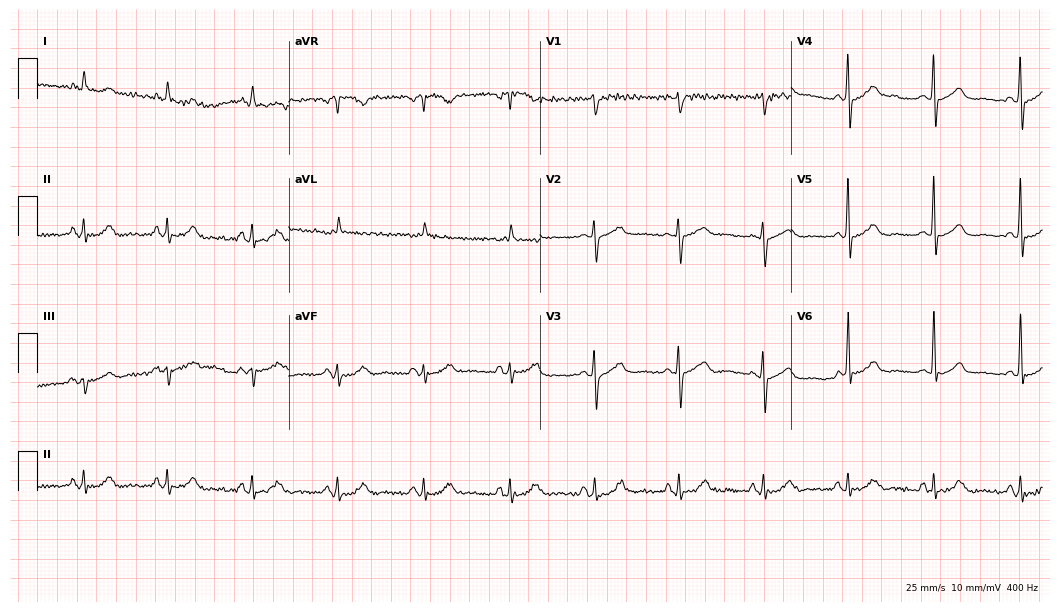
Resting 12-lead electrocardiogram (10.2-second recording at 400 Hz). Patient: an 82-year-old male. Read as a normal ECG.